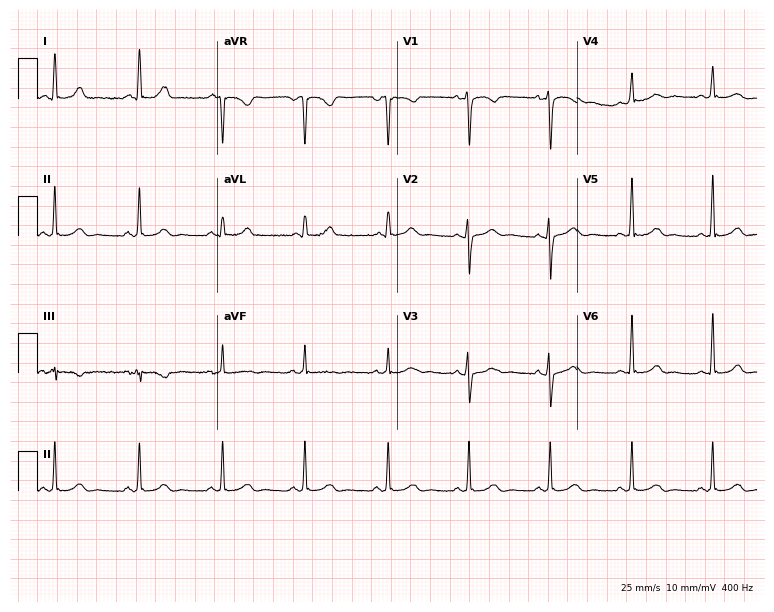
Standard 12-lead ECG recorded from a female patient, 32 years old (7.3-second recording at 400 Hz). None of these six findings is recorded: first-degree AV block, right bundle branch block (RBBB), left bundle branch block (LBBB), sinus bradycardia, atrial fibrillation (AF), sinus tachycardia. Only these six findings were labelled.